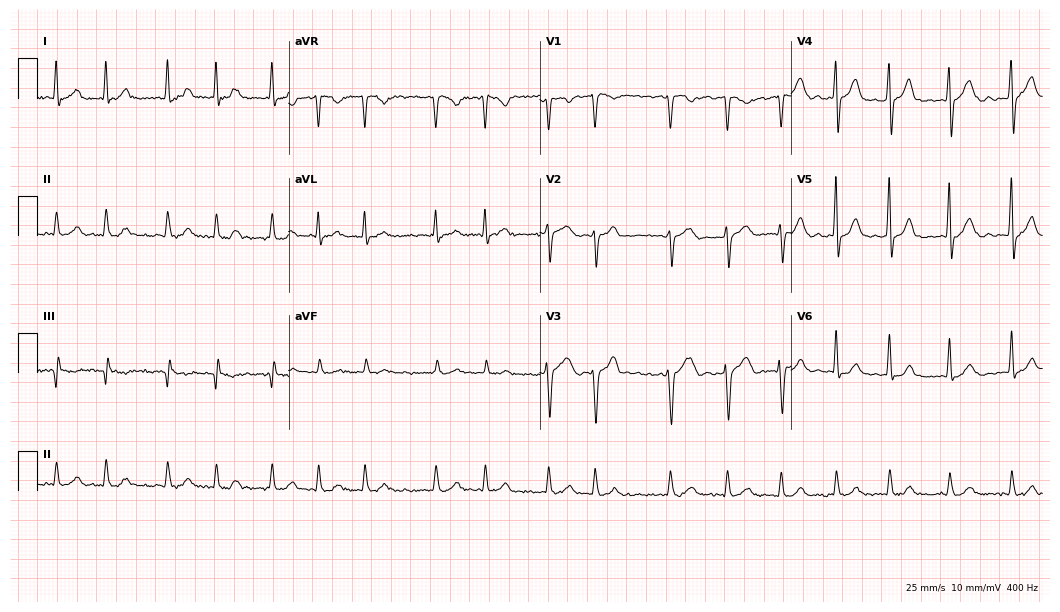
ECG — a 74-year-old man. Findings include atrial fibrillation.